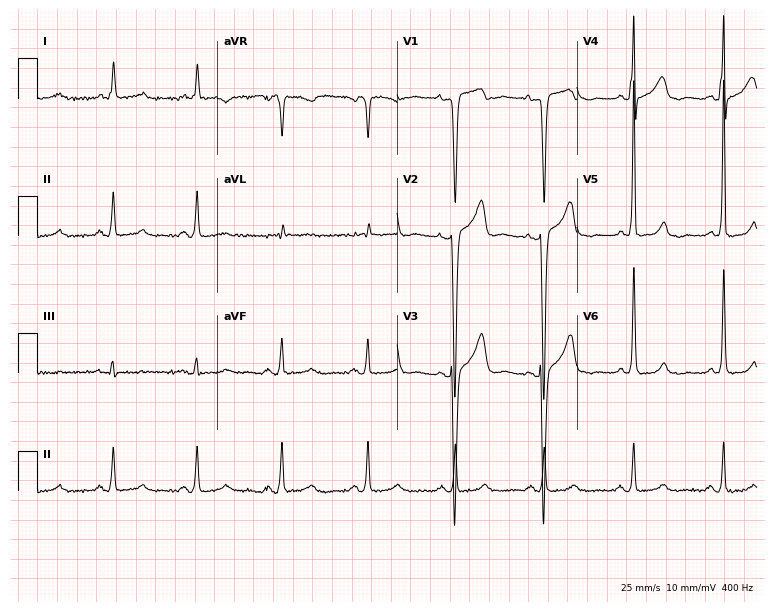
Resting 12-lead electrocardiogram (7.3-second recording at 400 Hz). Patient: an 83-year-old male. None of these six findings is recorded: first-degree AV block, right bundle branch block, left bundle branch block, sinus bradycardia, atrial fibrillation, sinus tachycardia.